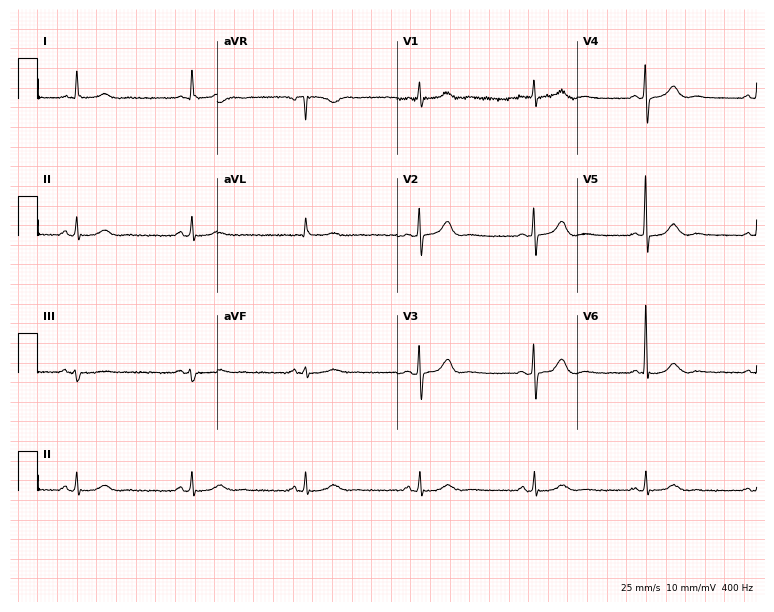
Standard 12-lead ECG recorded from a 77-year-old female patient. Read as a normal ECG.